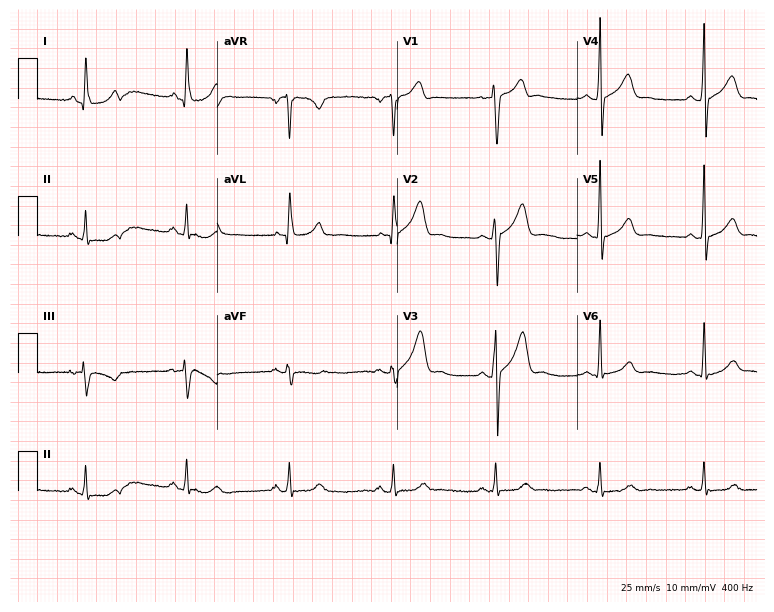
Electrocardiogram, a male, 50 years old. Overall reading on record: normal ECG.